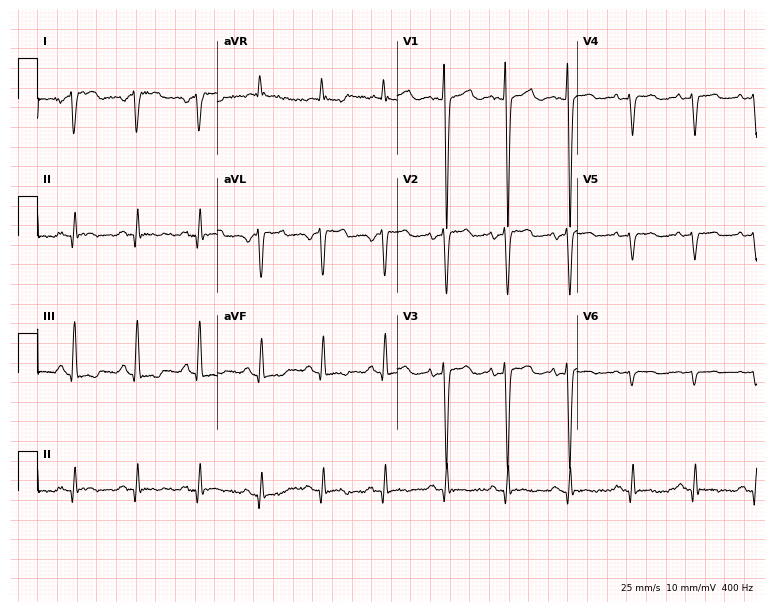
Standard 12-lead ECG recorded from a female patient, 81 years old. None of these six findings is recorded: first-degree AV block, right bundle branch block, left bundle branch block, sinus bradycardia, atrial fibrillation, sinus tachycardia. Other findings, if any, are not listed.